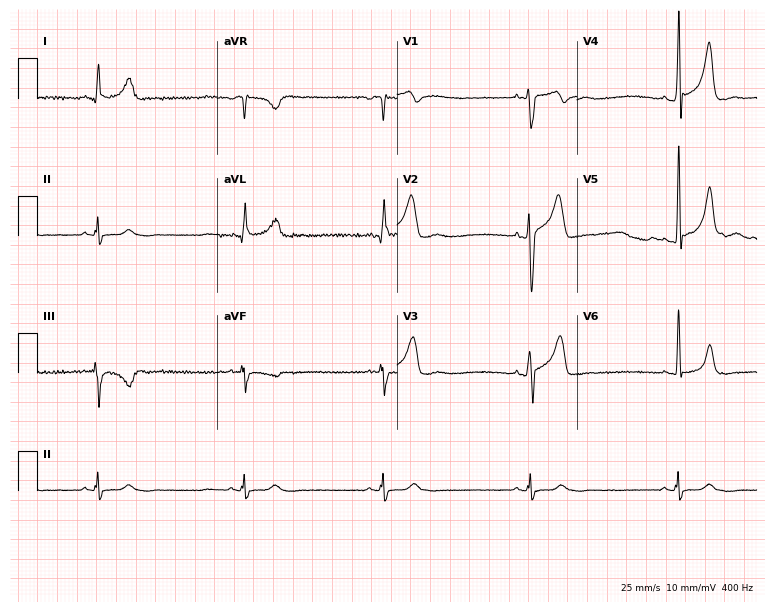
Standard 12-lead ECG recorded from a 40-year-old woman (7.3-second recording at 400 Hz). None of these six findings is recorded: first-degree AV block, right bundle branch block, left bundle branch block, sinus bradycardia, atrial fibrillation, sinus tachycardia.